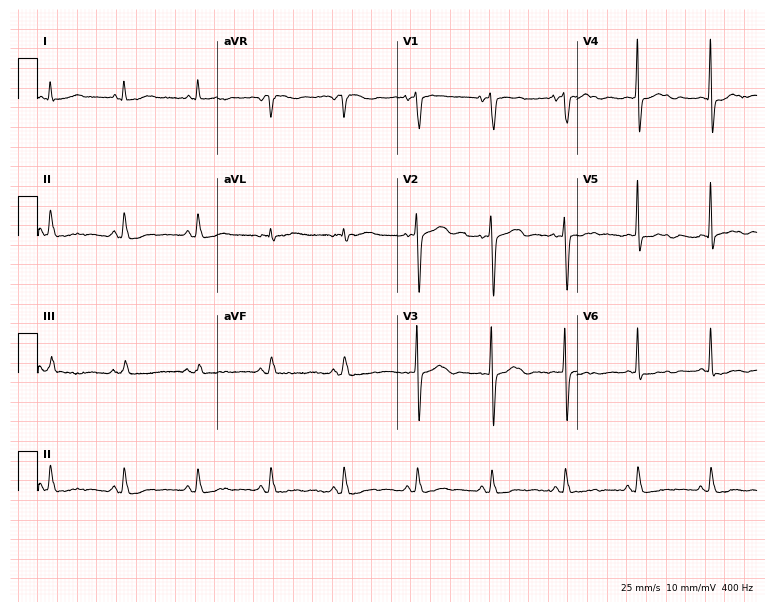
Electrocardiogram (7.3-second recording at 400 Hz), an 85-year-old woman. Of the six screened findings (first-degree AV block, right bundle branch block, left bundle branch block, sinus bradycardia, atrial fibrillation, sinus tachycardia), none is recorded. Only these six findings were labelled.